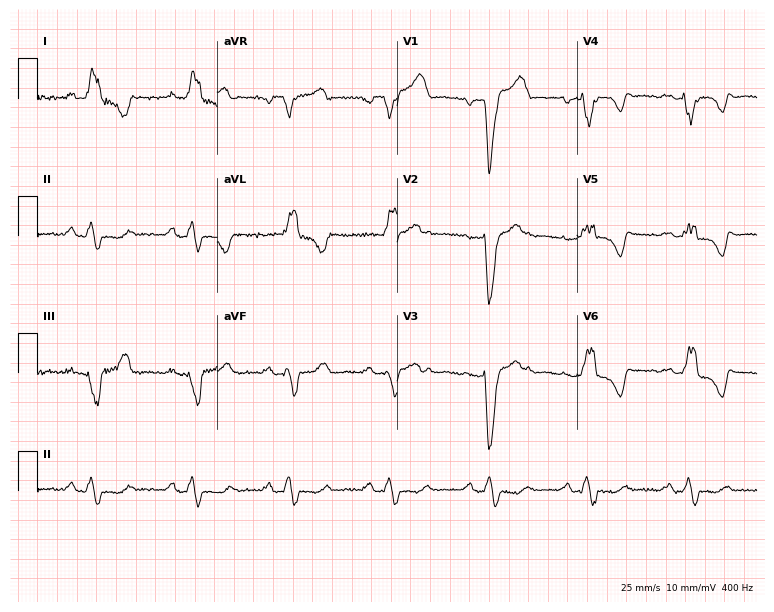
12-lead ECG (7.3-second recording at 400 Hz) from a 36-year-old woman. Findings include left bundle branch block.